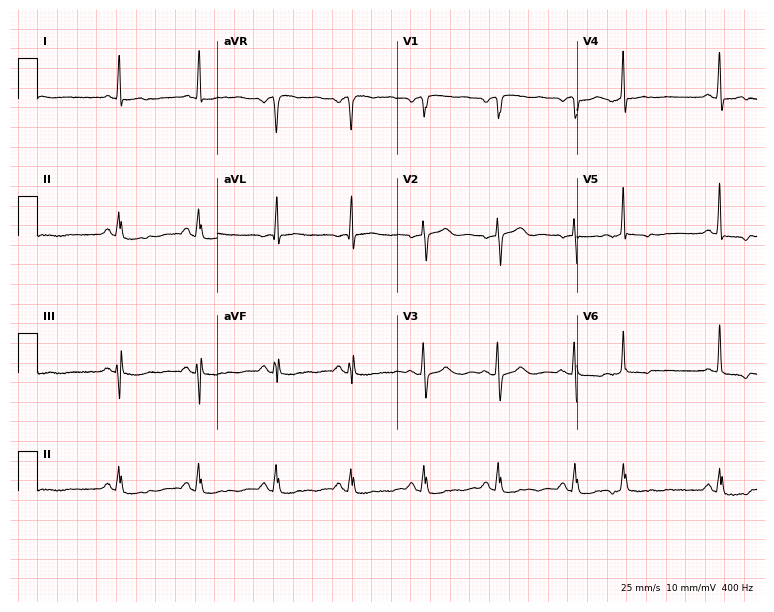
12-lead ECG from a female, 83 years old (7.3-second recording at 400 Hz). No first-degree AV block, right bundle branch block (RBBB), left bundle branch block (LBBB), sinus bradycardia, atrial fibrillation (AF) or sinus tachycardia recorded for this tracing.